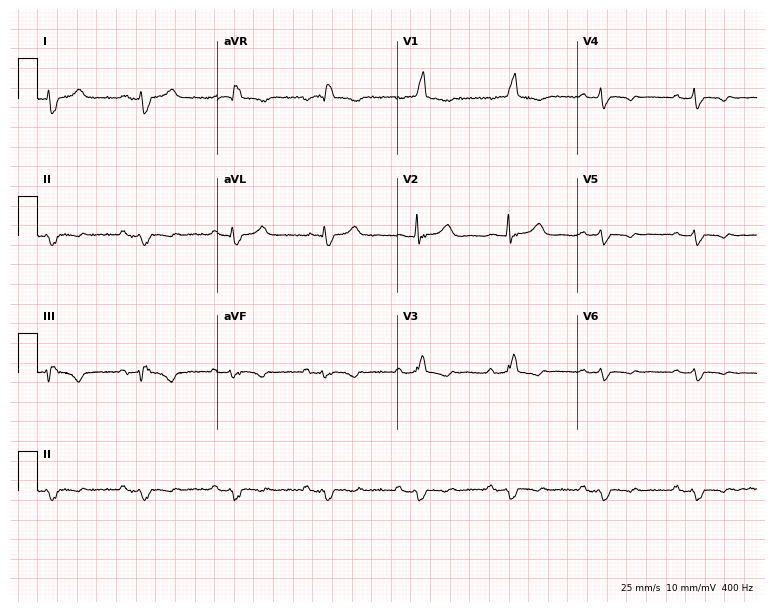
12-lead ECG from a woman, 64 years old. Shows right bundle branch block (RBBB).